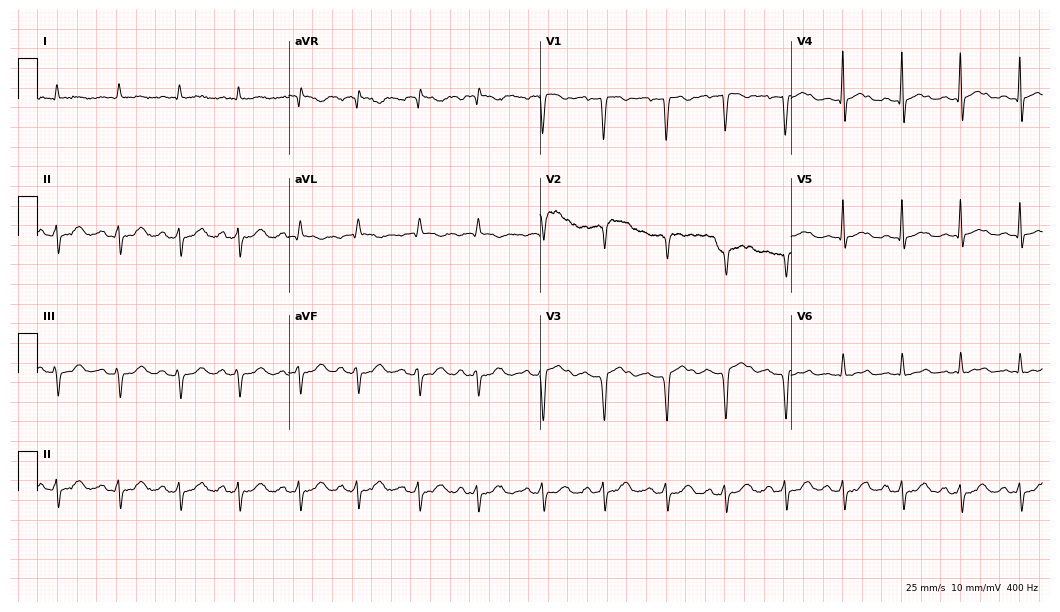
Electrocardiogram (10.2-second recording at 400 Hz), a female patient, 61 years old. Of the six screened findings (first-degree AV block, right bundle branch block, left bundle branch block, sinus bradycardia, atrial fibrillation, sinus tachycardia), none is recorded. Only these six findings were labelled.